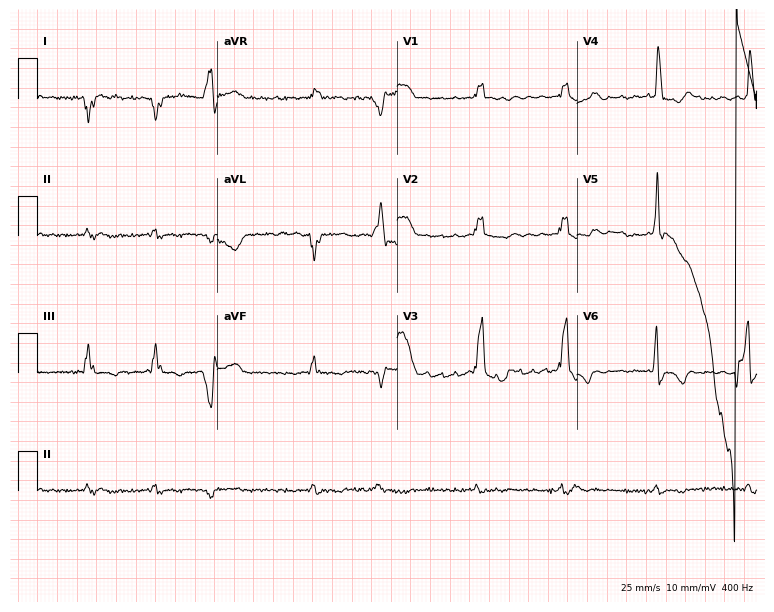
ECG (7.3-second recording at 400 Hz) — a man, 75 years old. Screened for six findings — first-degree AV block, right bundle branch block (RBBB), left bundle branch block (LBBB), sinus bradycardia, atrial fibrillation (AF), sinus tachycardia — none is recorded. Only these six findings were labelled.